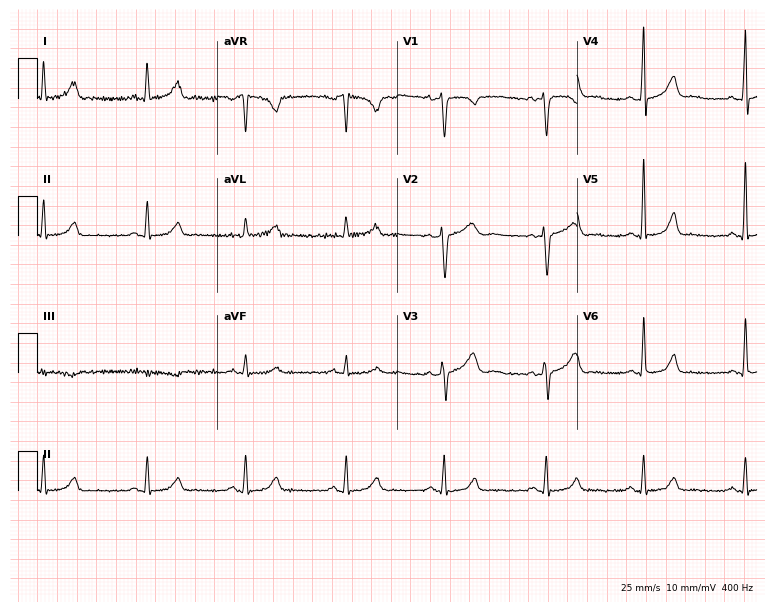
ECG (7.3-second recording at 400 Hz) — a 35-year-old female. Labelled as a normal ECG.